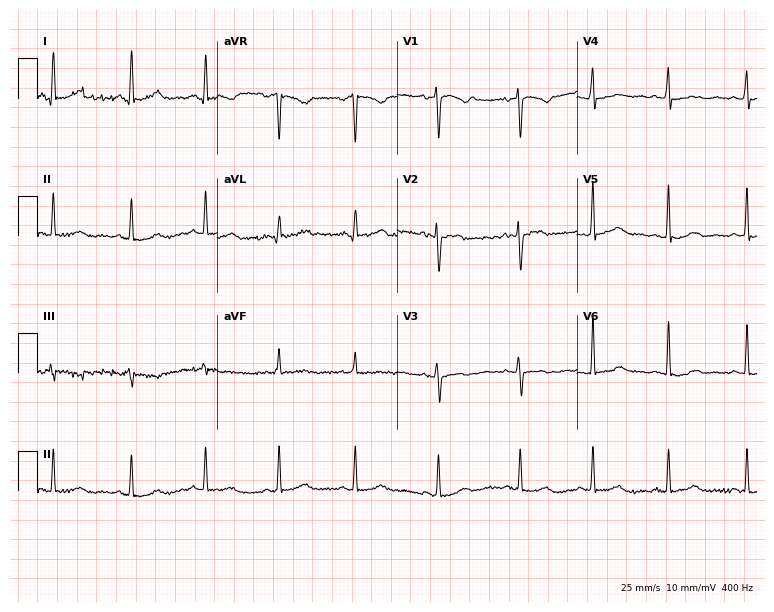
Standard 12-lead ECG recorded from a female patient, 48 years old (7.3-second recording at 400 Hz). Read as a normal ECG.